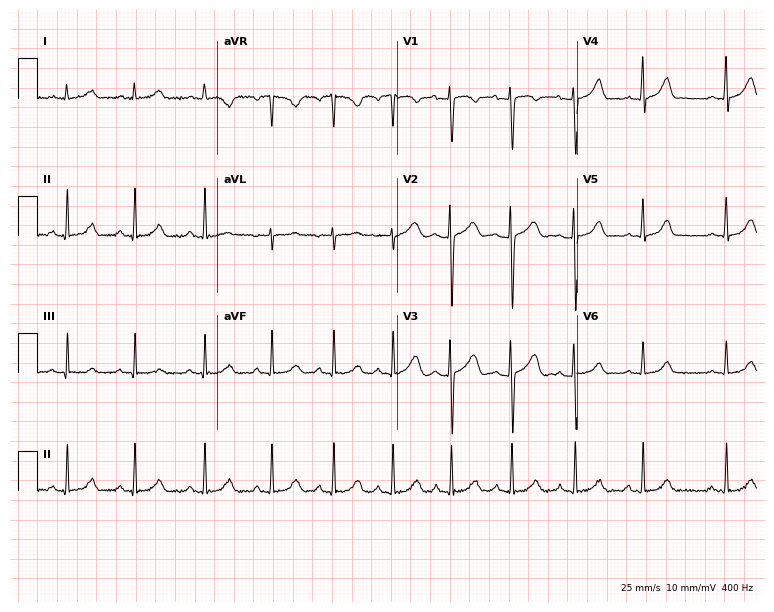
12-lead ECG from a 23-year-old female patient (7.3-second recording at 400 Hz). No first-degree AV block, right bundle branch block, left bundle branch block, sinus bradycardia, atrial fibrillation or sinus tachycardia recorded for this tracing.